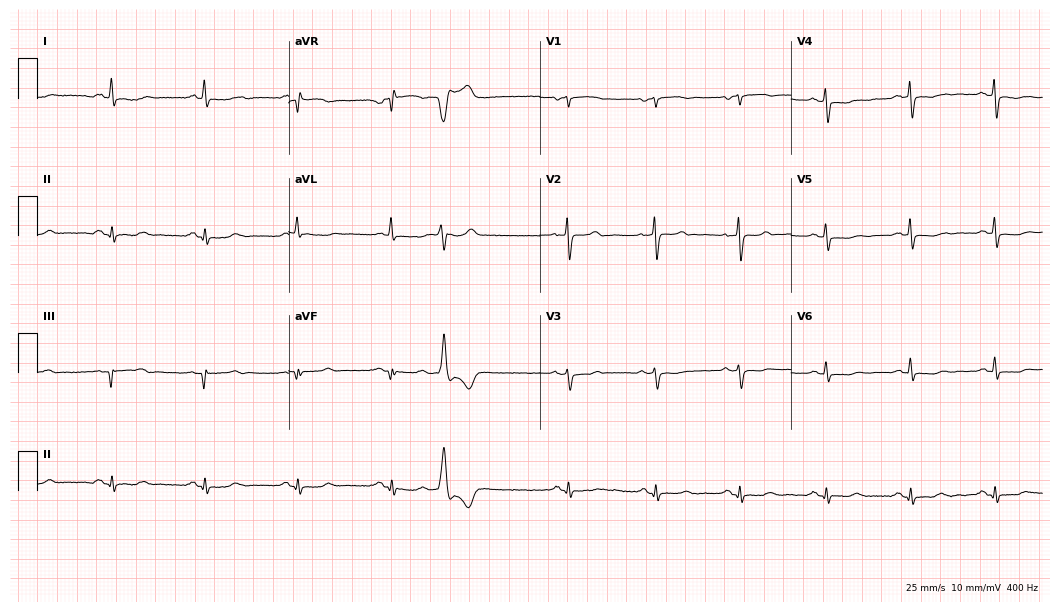
12-lead ECG from a 74-year-old female patient (10.2-second recording at 400 Hz). No first-degree AV block, right bundle branch block (RBBB), left bundle branch block (LBBB), sinus bradycardia, atrial fibrillation (AF) or sinus tachycardia recorded for this tracing.